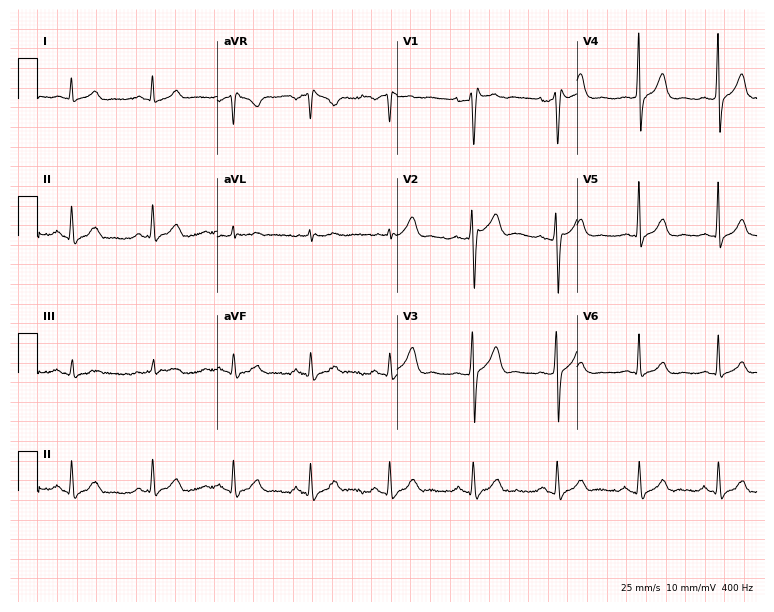
12-lead ECG from a man, 32 years old (7.3-second recording at 400 Hz). No first-degree AV block, right bundle branch block (RBBB), left bundle branch block (LBBB), sinus bradycardia, atrial fibrillation (AF) or sinus tachycardia recorded for this tracing. Only these six findings were labelled.